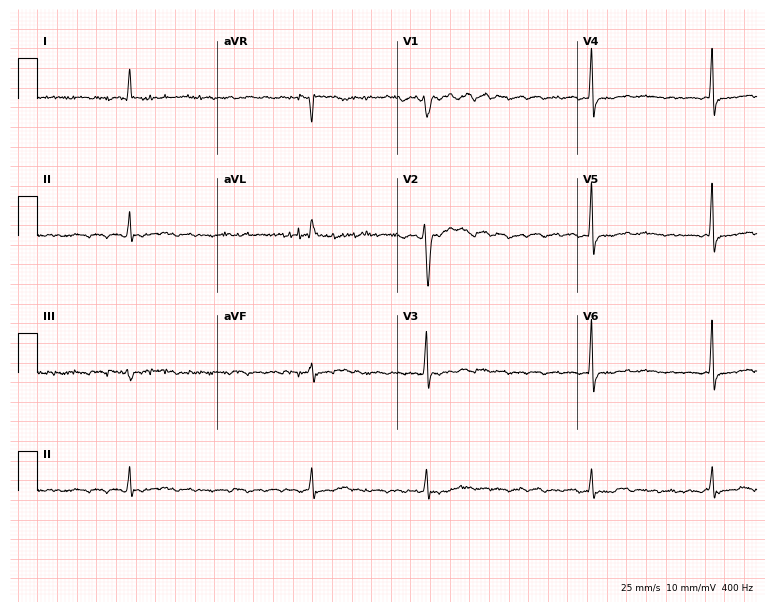
12-lead ECG (7.3-second recording at 400 Hz) from a woman, 74 years old. Findings include atrial fibrillation (AF).